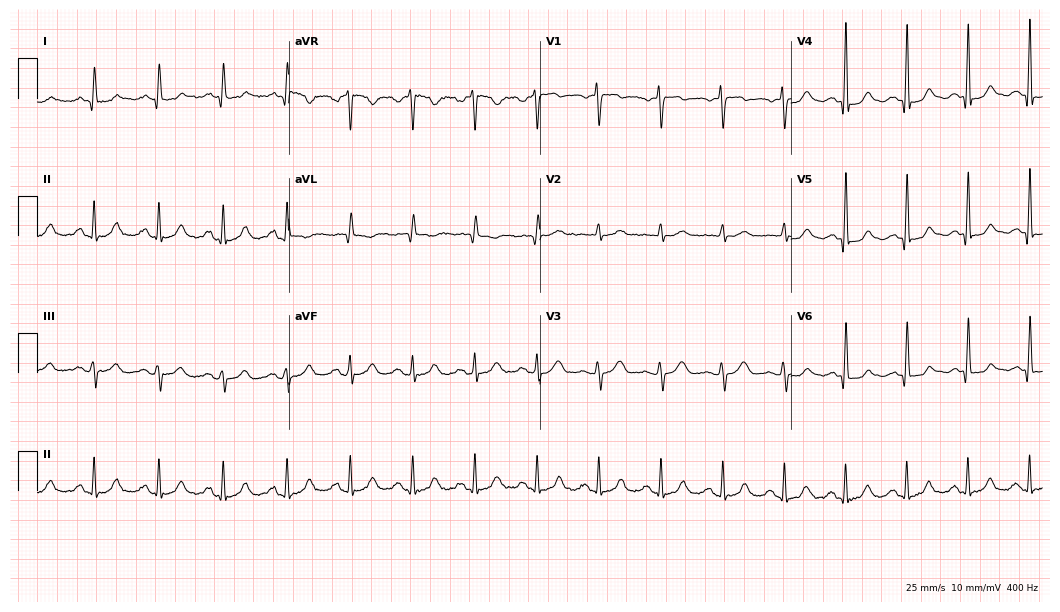
12-lead ECG (10.2-second recording at 400 Hz) from a female patient, 47 years old. Labelled as a normal ECG.